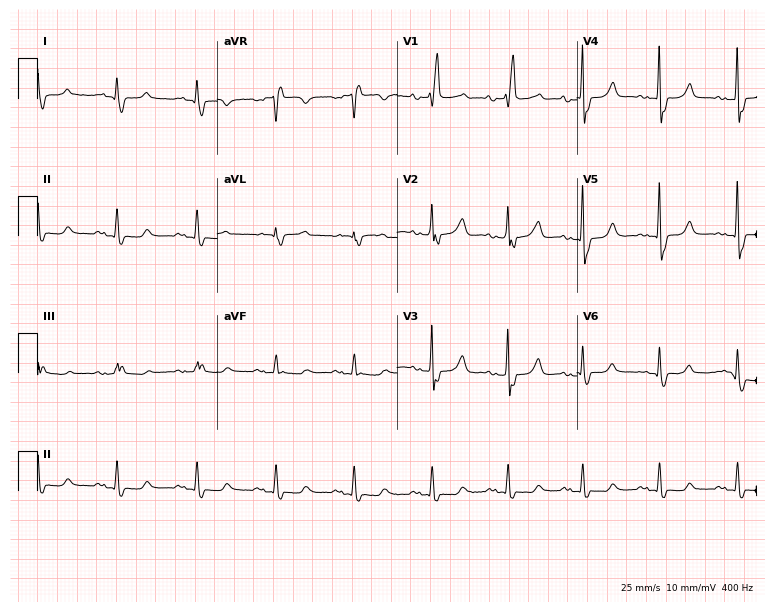
12-lead ECG (7.3-second recording at 400 Hz) from a male, 78 years old. Findings include right bundle branch block.